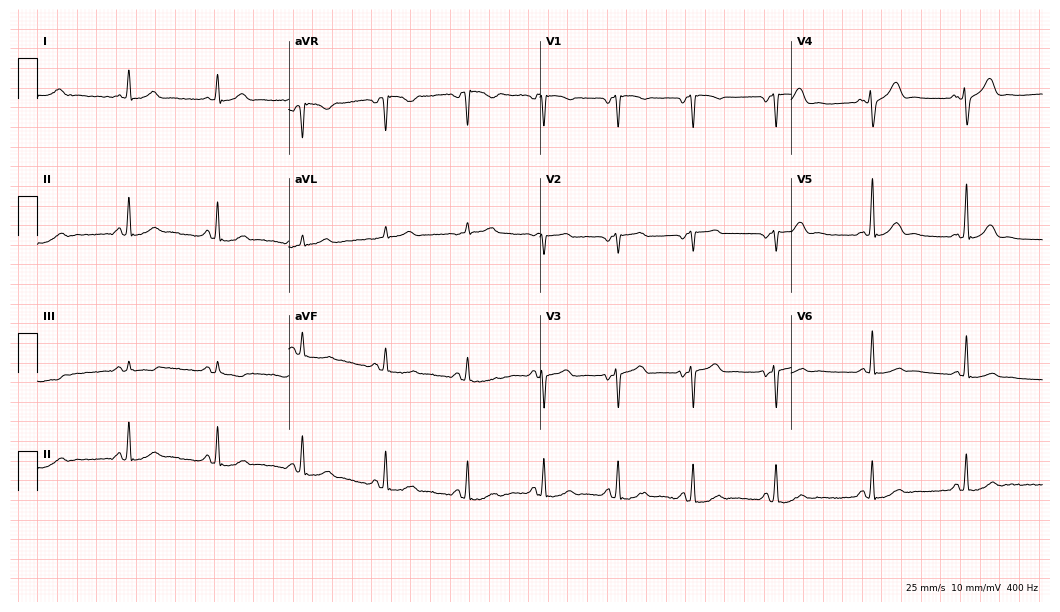
Resting 12-lead electrocardiogram (10.2-second recording at 400 Hz). Patient: a 41-year-old male. Read as a normal ECG.